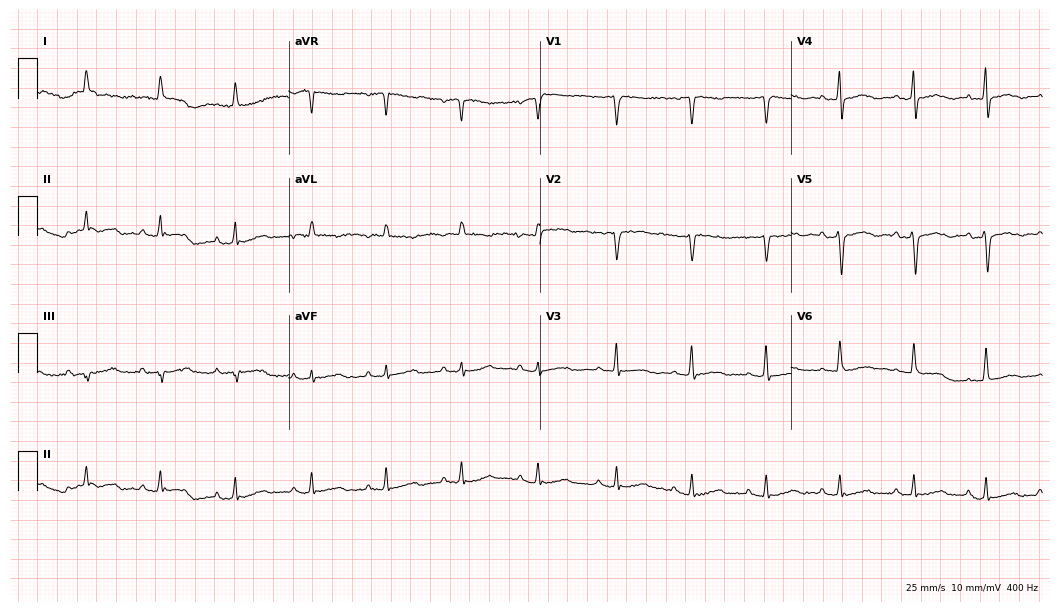
Standard 12-lead ECG recorded from a 20-year-old man. None of these six findings is recorded: first-degree AV block, right bundle branch block, left bundle branch block, sinus bradycardia, atrial fibrillation, sinus tachycardia.